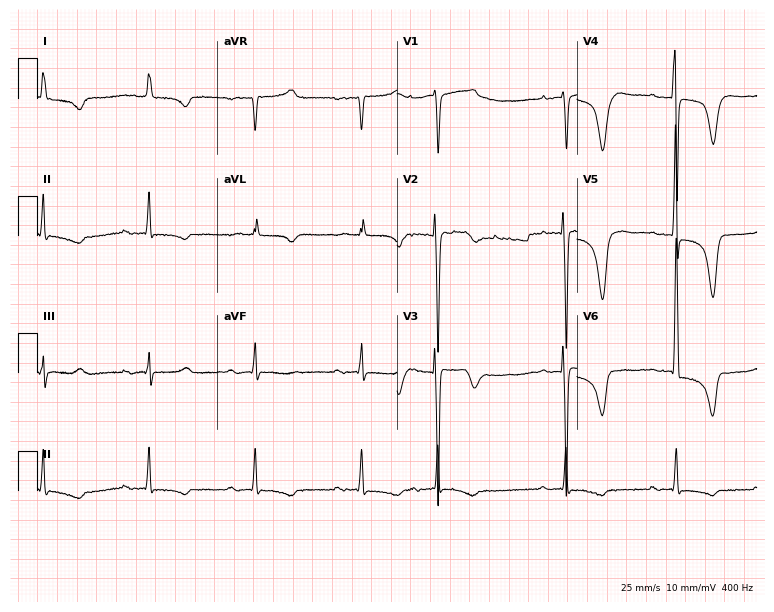
ECG — a male, 87 years old. Findings include first-degree AV block.